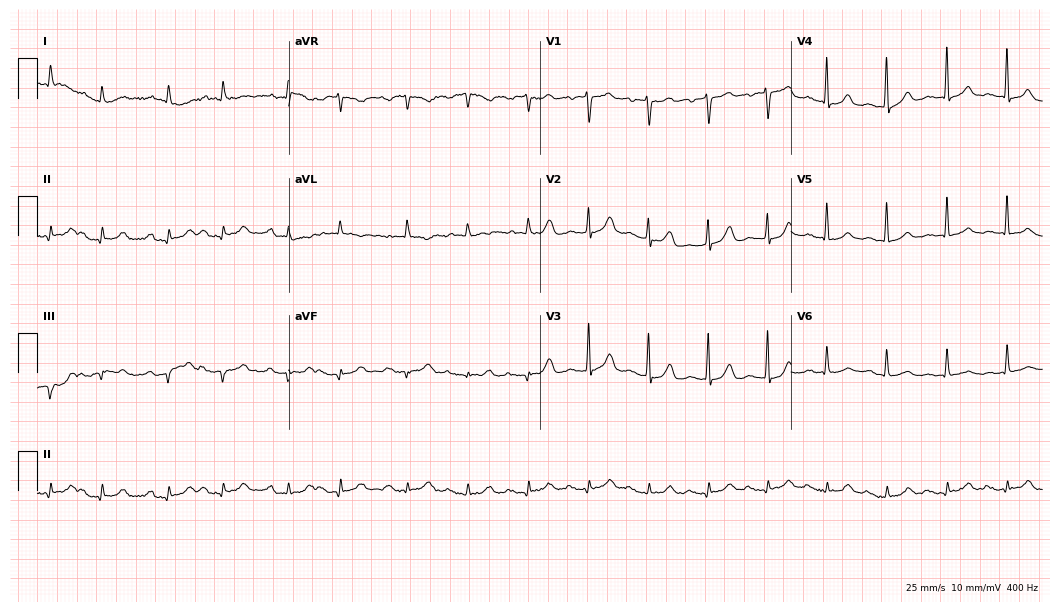
Standard 12-lead ECG recorded from a female patient, 82 years old (10.2-second recording at 400 Hz). None of these six findings is recorded: first-degree AV block, right bundle branch block (RBBB), left bundle branch block (LBBB), sinus bradycardia, atrial fibrillation (AF), sinus tachycardia.